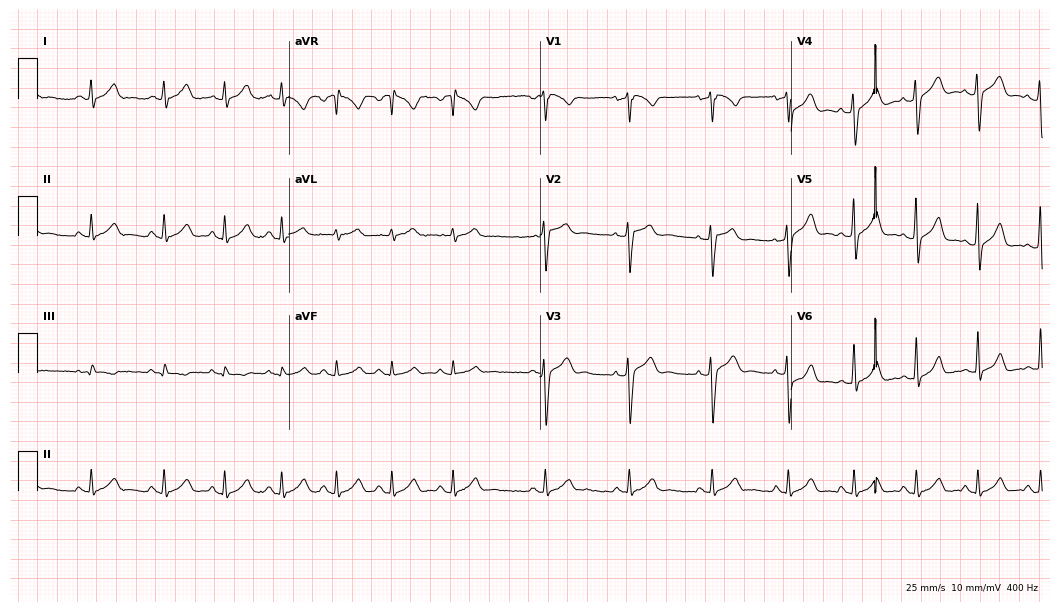
12-lead ECG (10.2-second recording at 400 Hz) from a 27-year-old male patient. Screened for six findings — first-degree AV block, right bundle branch block (RBBB), left bundle branch block (LBBB), sinus bradycardia, atrial fibrillation (AF), sinus tachycardia — none is recorded. Findings outside these six are not listed.